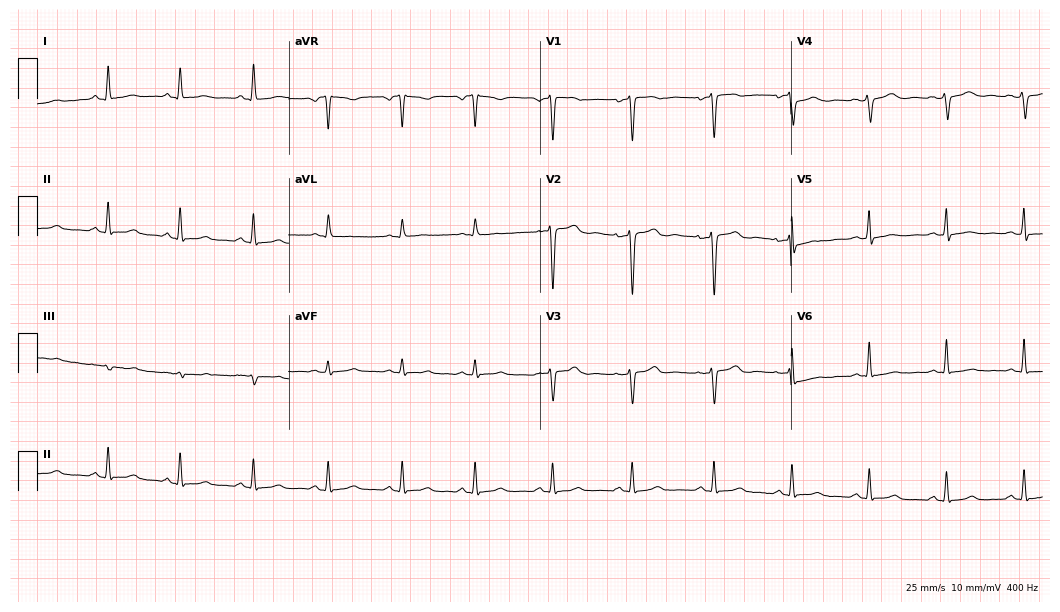
Standard 12-lead ECG recorded from a female, 39 years old. None of these six findings is recorded: first-degree AV block, right bundle branch block (RBBB), left bundle branch block (LBBB), sinus bradycardia, atrial fibrillation (AF), sinus tachycardia.